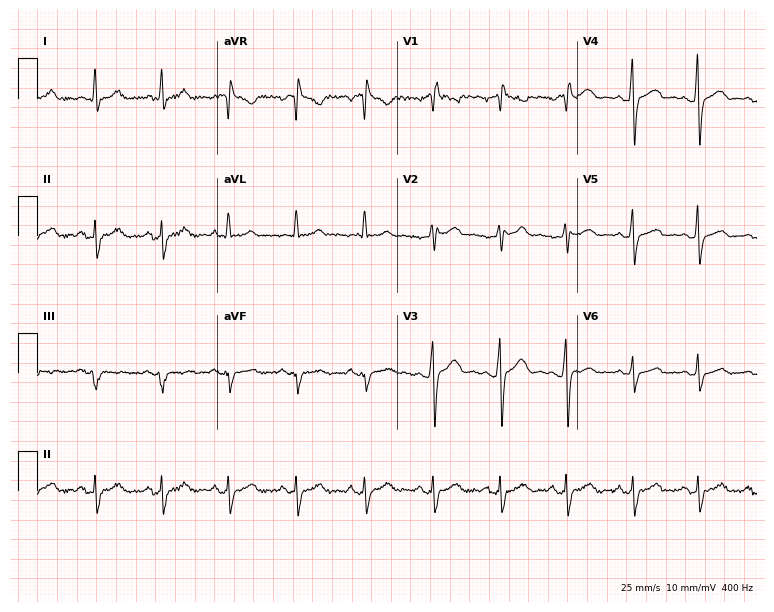
12-lead ECG from a 51-year-old woman. No first-degree AV block, right bundle branch block, left bundle branch block, sinus bradycardia, atrial fibrillation or sinus tachycardia recorded for this tracing.